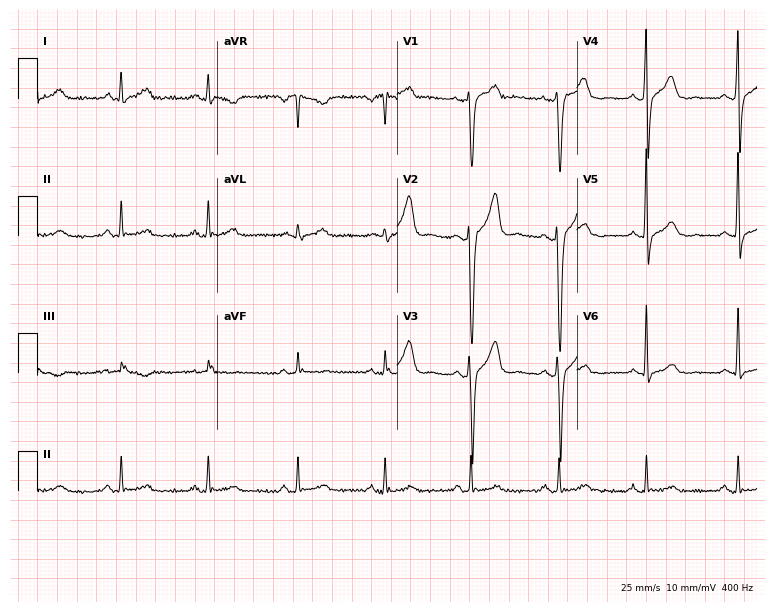
Standard 12-lead ECG recorded from a man, 37 years old. Read as a normal ECG.